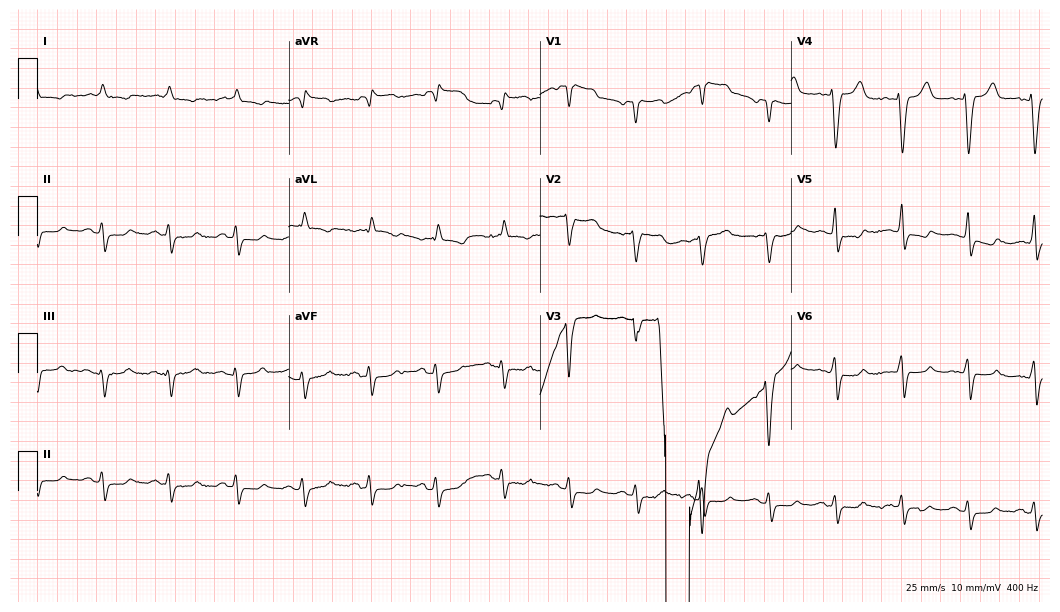
Resting 12-lead electrocardiogram (10.2-second recording at 400 Hz). Patient: a male, 68 years old. None of these six findings is recorded: first-degree AV block, right bundle branch block (RBBB), left bundle branch block (LBBB), sinus bradycardia, atrial fibrillation (AF), sinus tachycardia.